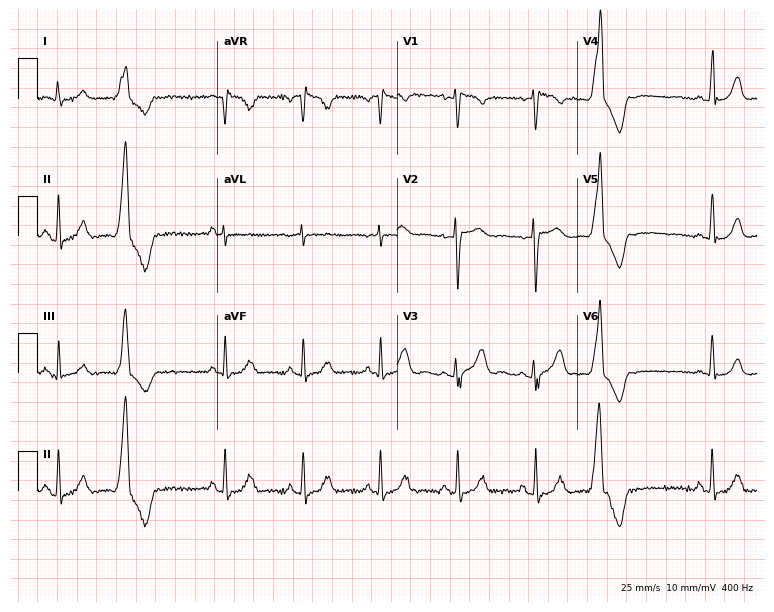
Standard 12-lead ECG recorded from a woman, 27 years old (7.3-second recording at 400 Hz). None of these six findings is recorded: first-degree AV block, right bundle branch block (RBBB), left bundle branch block (LBBB), sinus bradycardia, atrial fibrillation (AF), sinus tachycardia. Other findings, if any, are not listed.